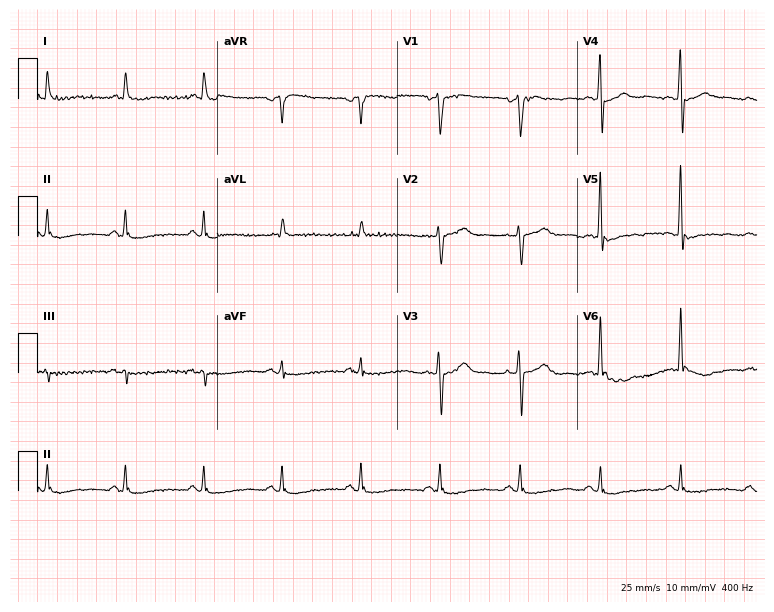
Electrocardiogram (7.3-second recording at 400 Hz), an 84-year-old male. Of the six screened findings (first-degree AV block, right bundle branch block, left bundle branch block, sinus bradycardia, atrial fibrillation, sinus tachycardia), none is recorded. Other findings, if any, are not listed.